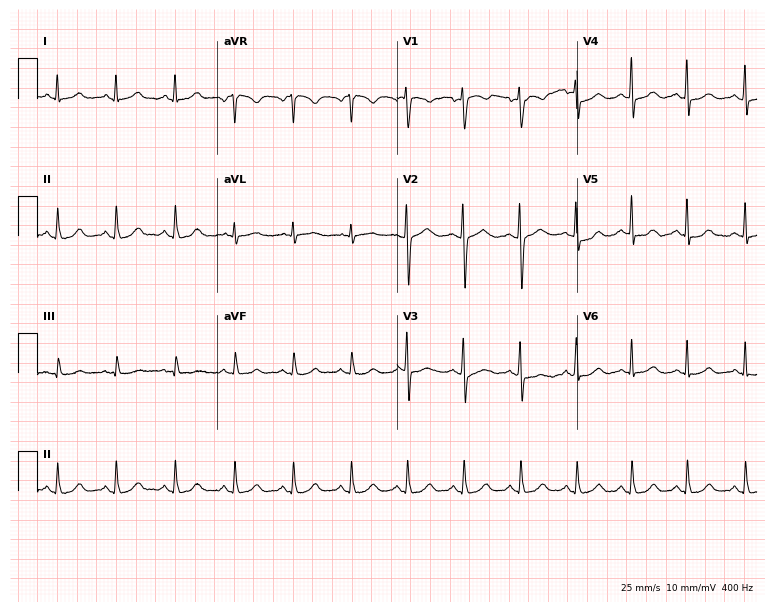
Standard 12-lead ECG recorded from a 33-year-old woman (7.3-second recording at 400 Hz). None of these six findings is recorded: first-degree AV block, right bundle branch block, left bundle branch block, sinus bradycardia, atrial fibrillation, sinus tachycardia. Other findings, if any, are not listed.